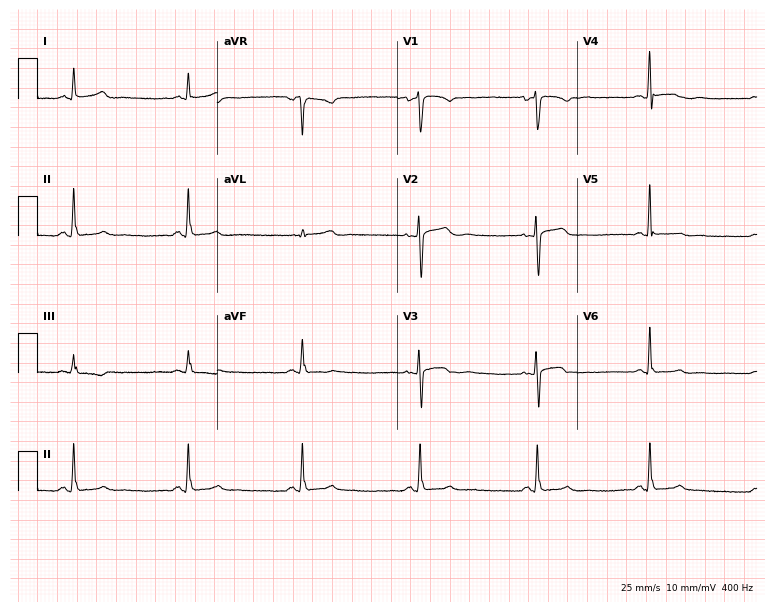
12-lead ECG (7.3-second recording at 400 Hz) from a woman, 72 years old. Labelled as a normal ECG.